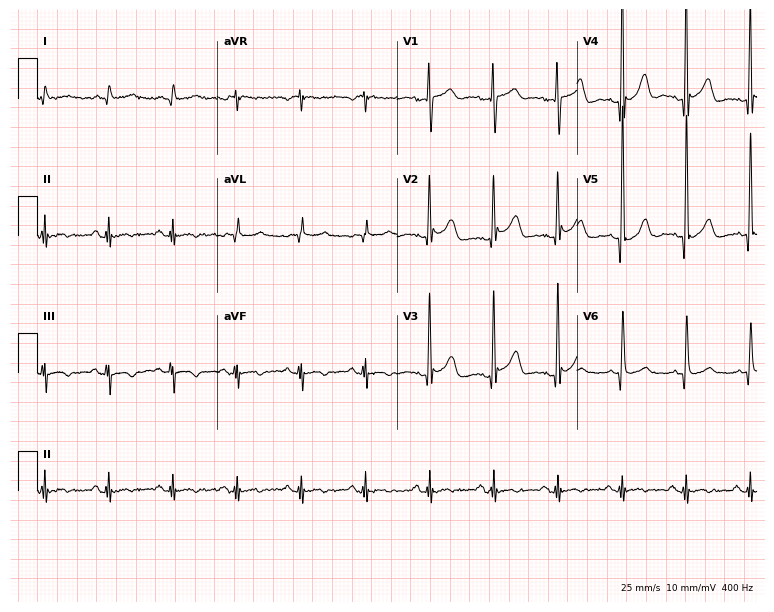
12-lead ECG from a 65-year-old male patient (7.3-second recording at 400 Hz). No first-degree AV block, right bundle branch block (RBBB), left bundle branch block (LBBB), sinus bradycardia, atrial fibrillation (AF) or sinus tachycardia recorded for this tracing.